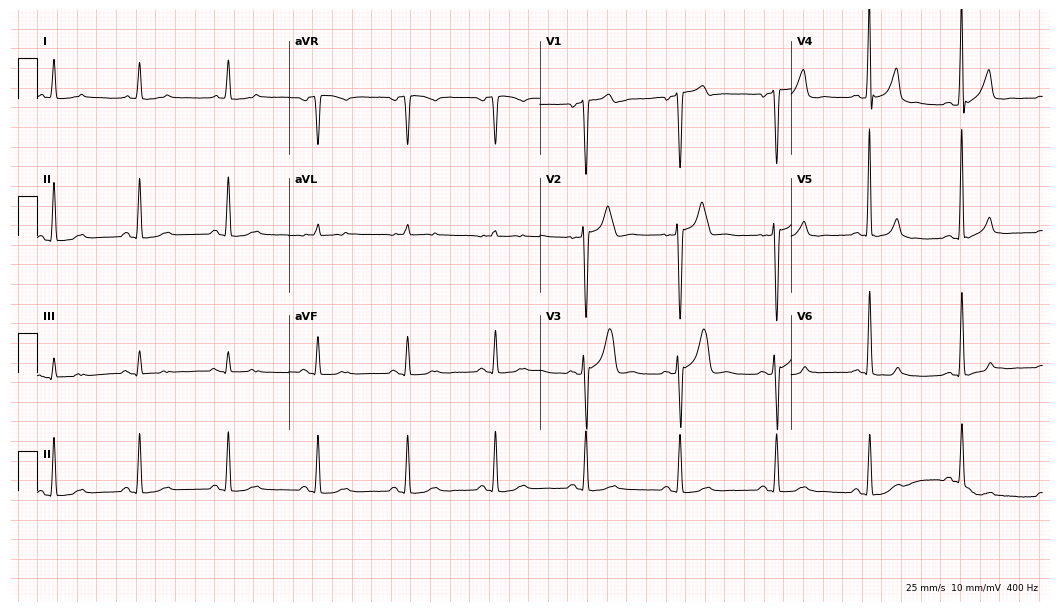
ECG — a 41-year-old male. Screened for six findings — first-degree AV block, right bundle branch block, left bundle branch block, sinus bradycardia, atrial fibrillation, sinus tachycardia — none is recorded. Other findings, if any, are not listed.